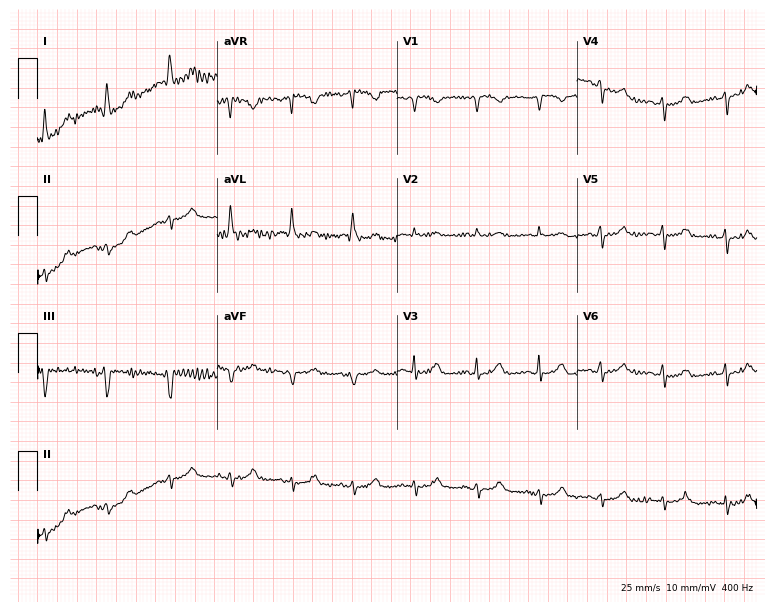
ECG — a female patient, 83 years old. Screened for six findings — first-degree AV block, right bundle branch block (RBBB), left bundle branch block (LBBB), sinus bradycardia, atrial fibrillation (AF), sinus tachycardia — none is recorded. Only these six findings were labelled.